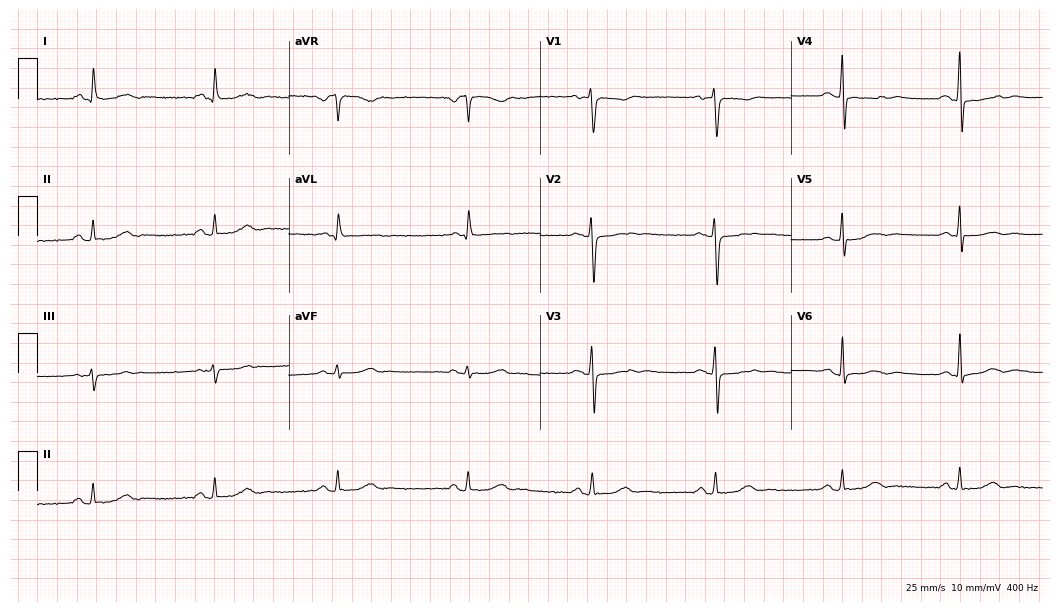
Electrocardiogram (10.2-second recording at 400 Hz), a 68-year-old female. Interpretation includes sinus bradycardia (a sinus rate of 50 beats per minute or less).